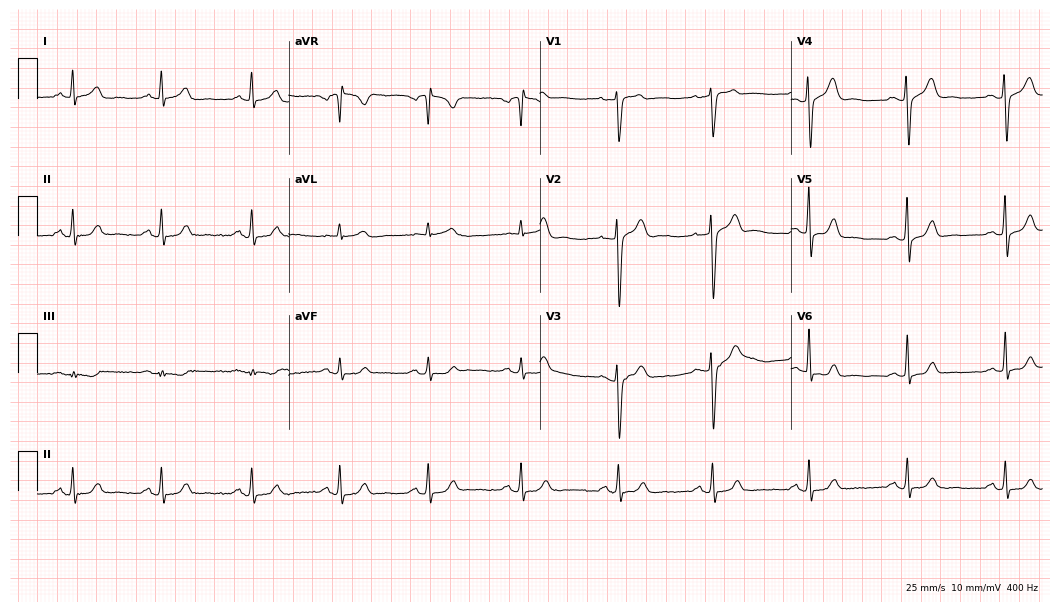
Resting 12-lead electrocardiogram. Patient: a 57-year-old male. Read as a normal ECG.